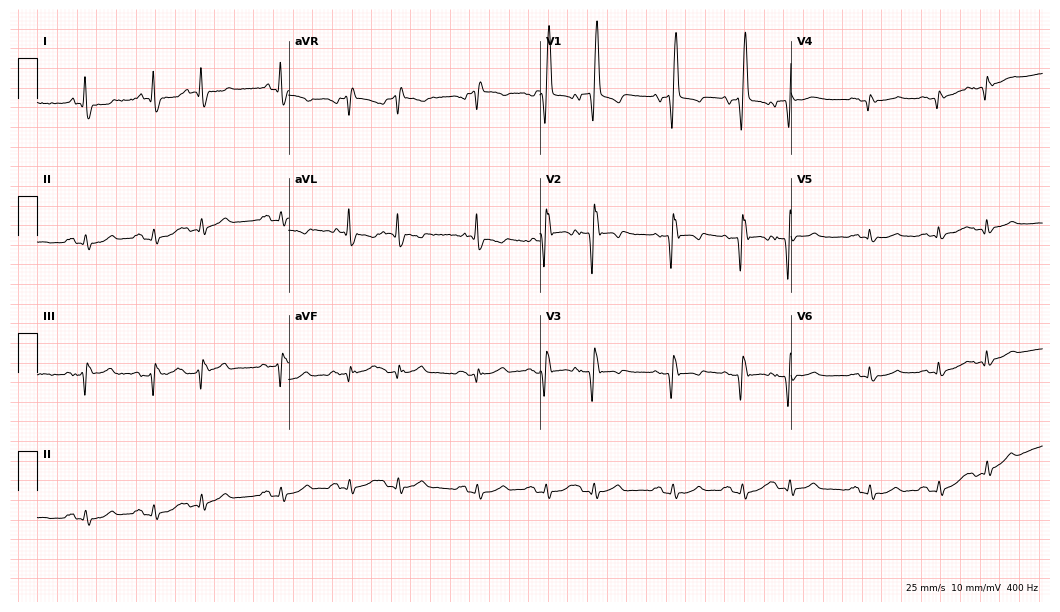
Resting 12-lead electrocardiogram. Patient: a man, 70 years old. The tracing shows right bundle branch block.